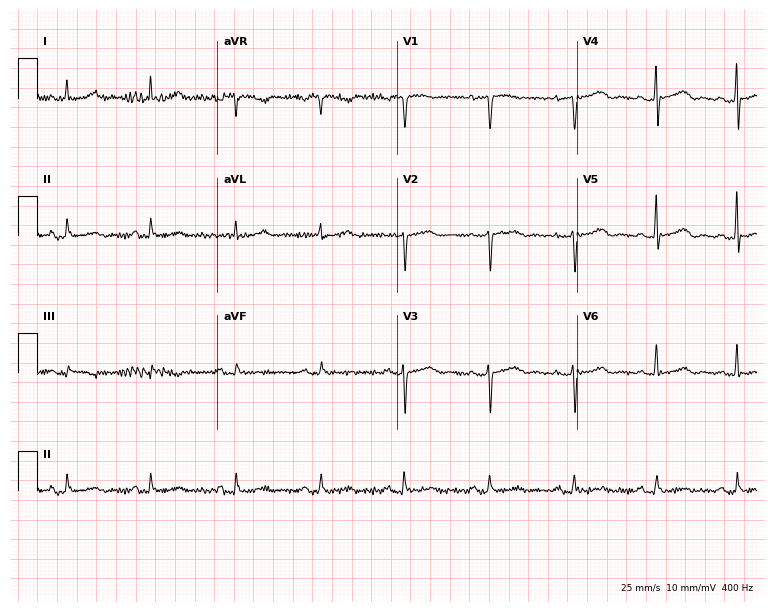
12-lead ECG from a woman, 53 years old. No first-degree AV block, right bundle branch block, left bundle branch block, sinus bradycardia, atrial fibrillation or sinus tachycardia recorded for this tracing.